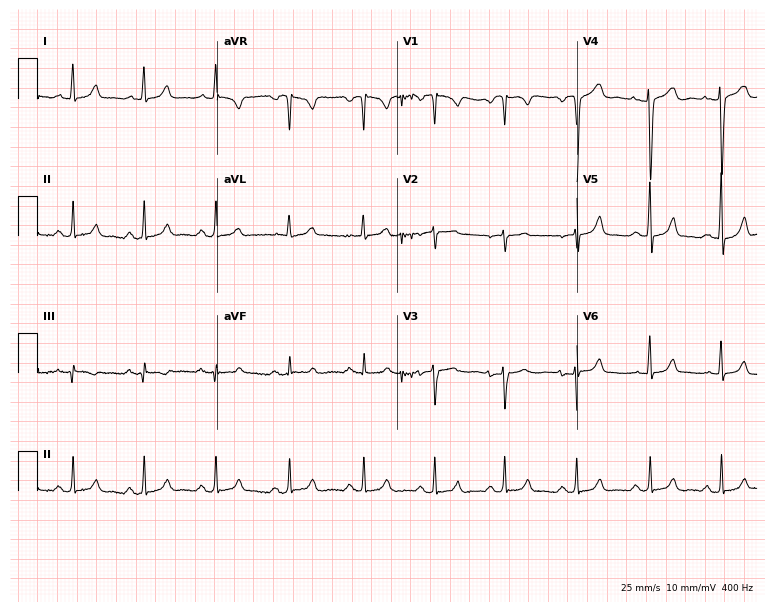
12-lead ECG from a woman, 33 years old. No first-degree AV block, right bundle branch block, left bundle branch block, sinus bradycardia, atrial fibrillation or sinus tachycardia recorded for this tracing.